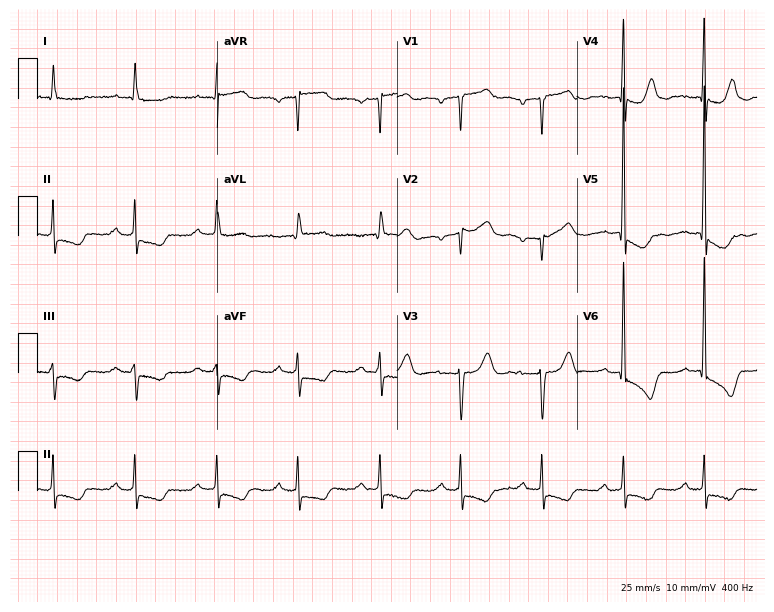
Resting 12-lead electrocardiogram. Patient: a 72-year-old female. None of these six findings is recorded: first-degree AV block, right bundle branch block, left bundle branch block, sinus bradycardia, atrial fibrillation, sinus tachycardia. Only these six findings were labelled.